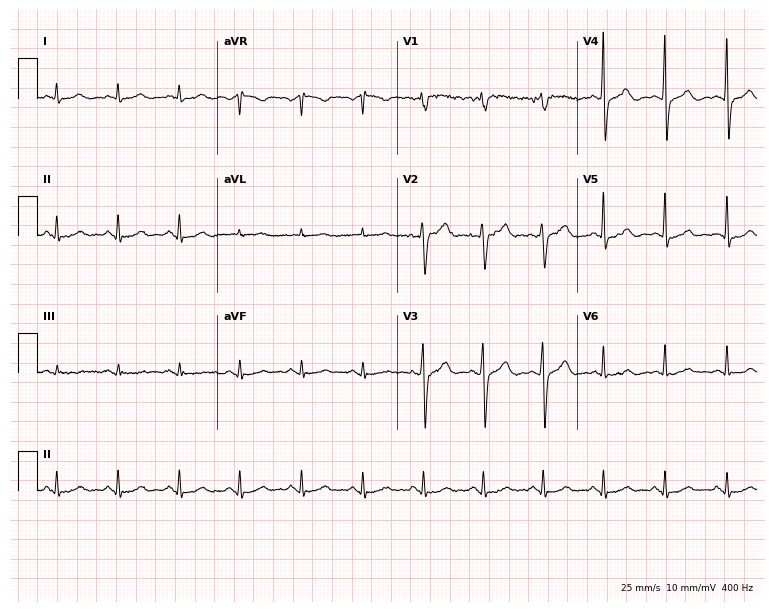
12-lead ECG from a 67-year-old male patient. Screened for six findings — first-degree AV block, right bundle branch block, left bundle branch block, sinus bradycardia, atrial fibrillation, sinus tachycardia — none is recorded.